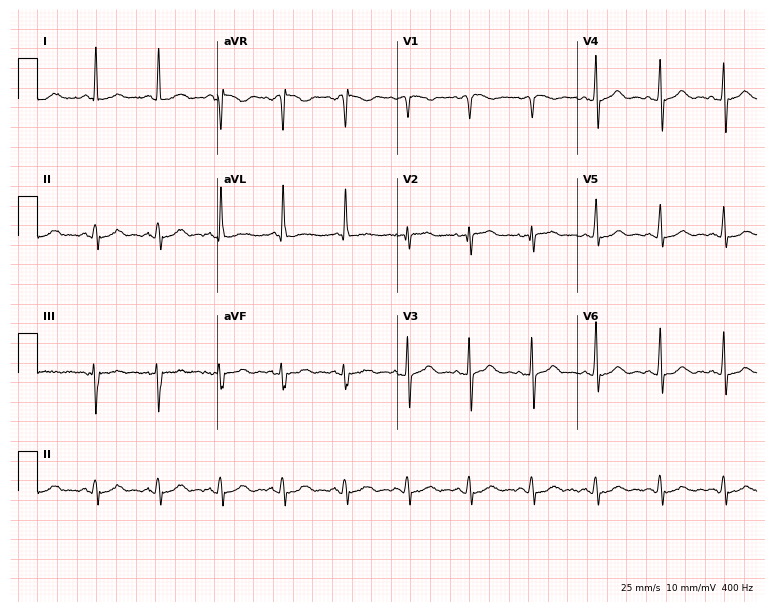
12-lead ECG from a 69-year-old man. Recorded interpretation: within normal limits.